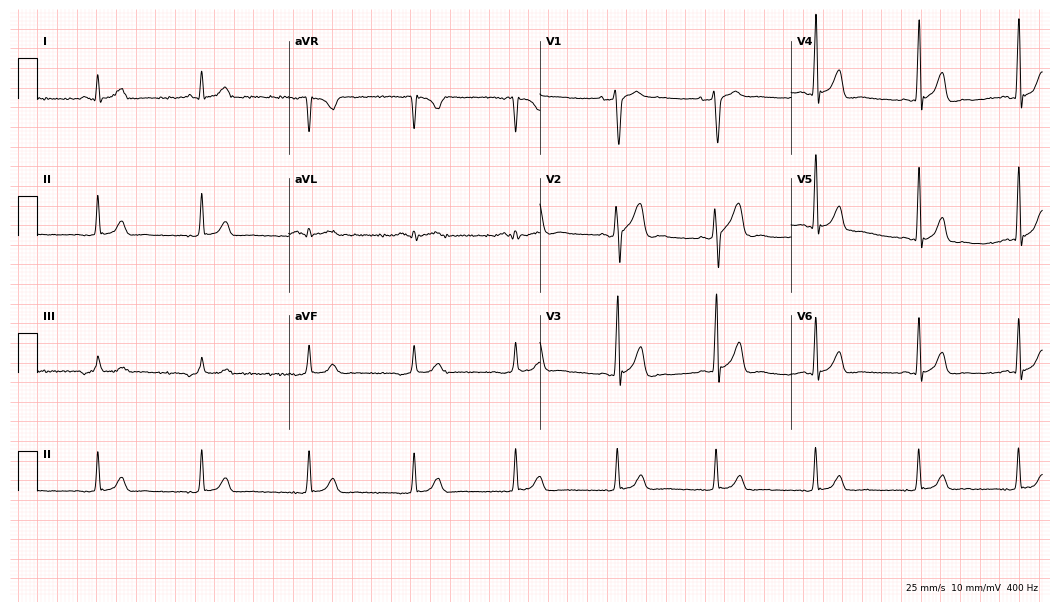
Resting 12-lead electrocardiogram (10.2-second recording at 400 Hz). Patient: a male, 48 years old. None of these six findings is recorded: first-degree AV block, right bundle branch block, left bundle branch block, sinus bradycardia, atrial fibrillation, sinus tachycardia. Findings outside these six are not listed.